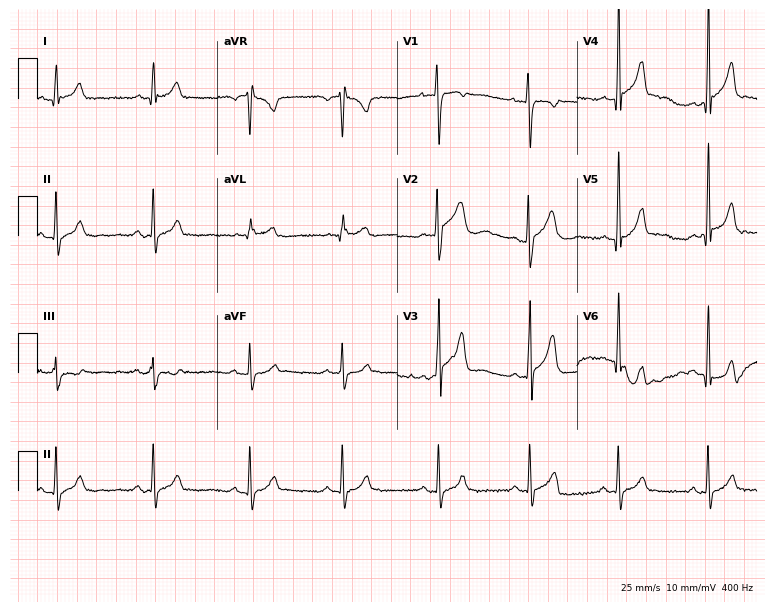
ECG (7.3-second recording at 400 Hz) — a 30-year-old male. Labelled as a normal ECG.